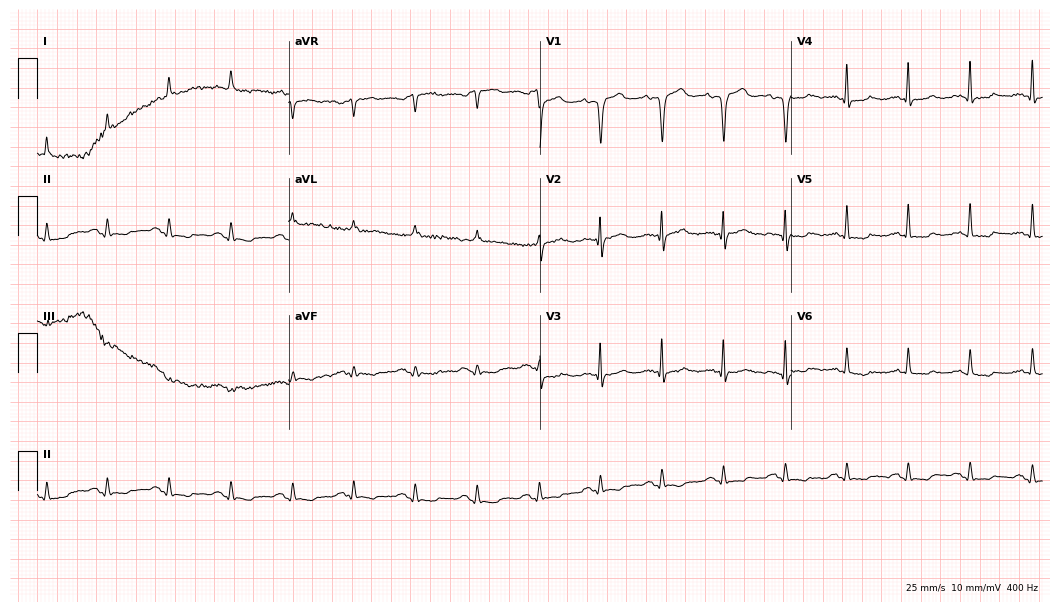
12-lead ECG (10.2-second recording at 400 Hz) from a male patient, 75 years old. Labelled as a normal ECG.